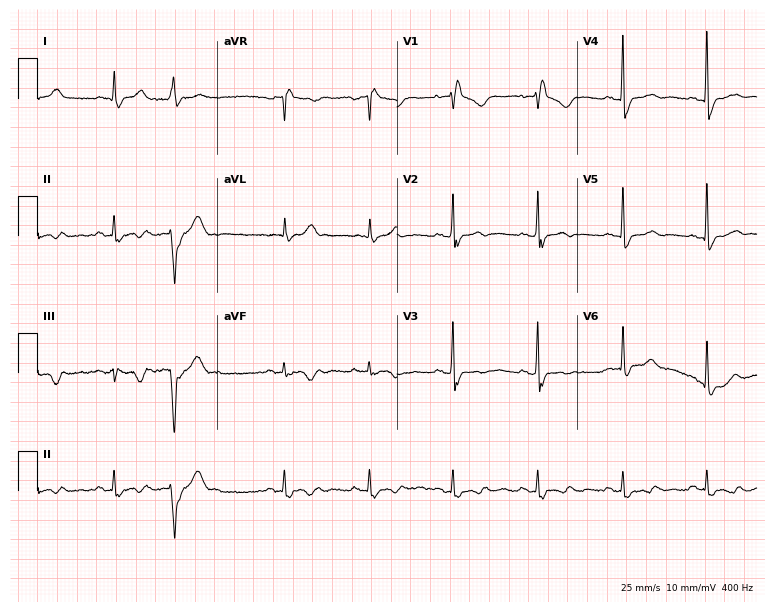
Standard 12-lead ECG recorded from a 72-year-old woman. The tracing shows right bundle branch block.